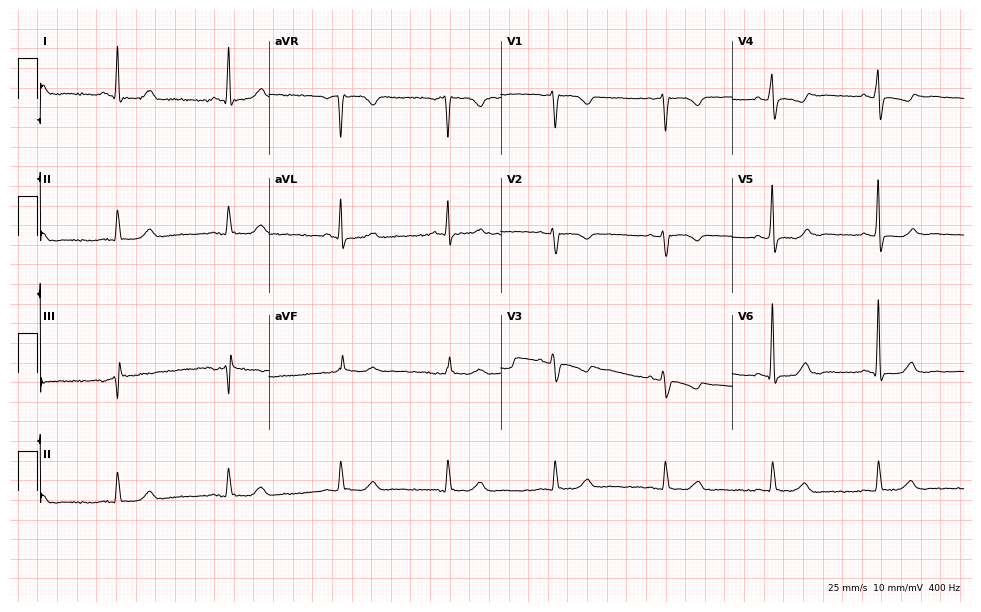
ECG (9.4-second recording at 400 Hz) — a female patient, 54 years old. Screened for six findings — first-degree AV block, right bundle branch block (RBBB), left bundle branch block (LBBB), sinus bradycardia, atrial fibrillation (AF), sinus tachycardia — none is recorded.